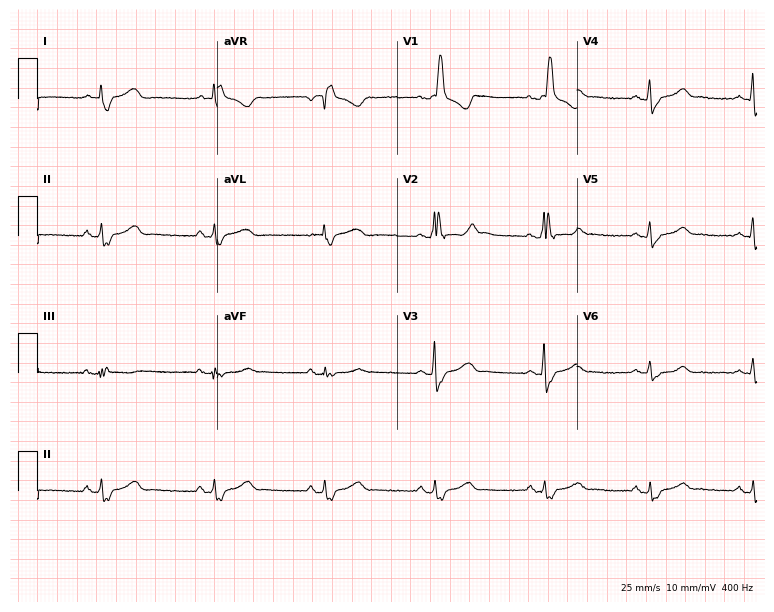
Electrocardiogram, a 62-year-old female. Interpretation includes right bundle branch block (RBBB).